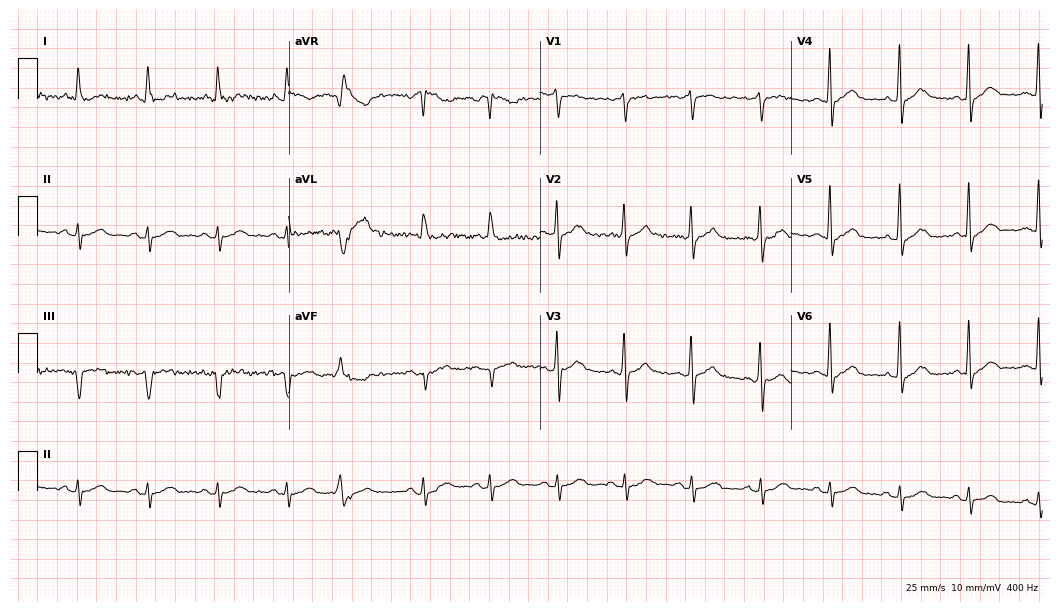
ECG — a 72-year-old female patient. Screened for six findings — first-degree AV block, right bundle branch block (RBBB), left bundle branch block (LBBB), sinus bradycardia, atrial fibrillation (AF), sinus tachycardia — none is recorded. Other findings, if any, are not listed.